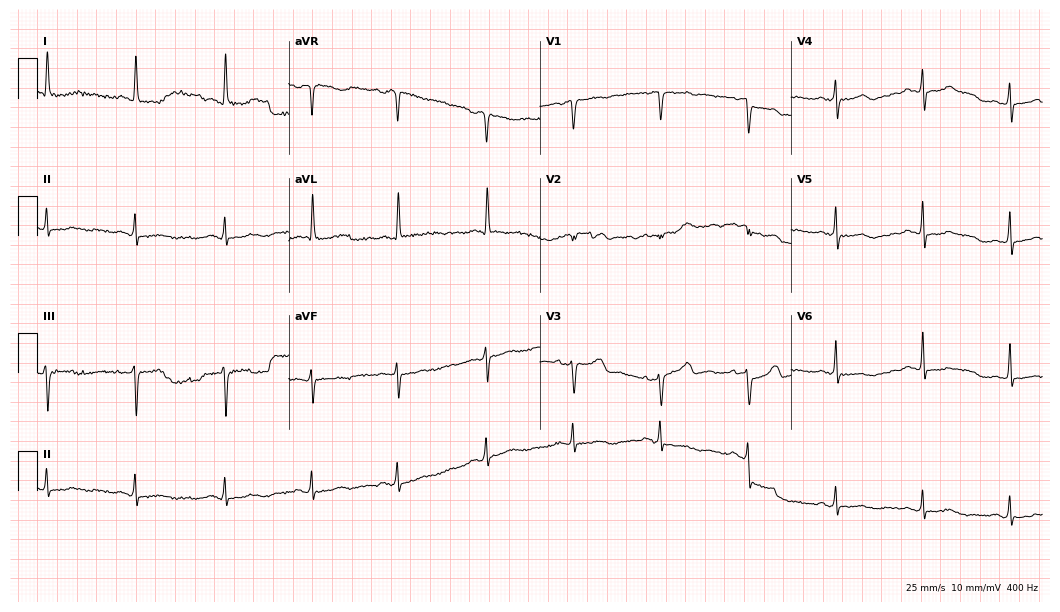
12-lead ECG from a woman, 70 years old. Labelled as a normal ECG.